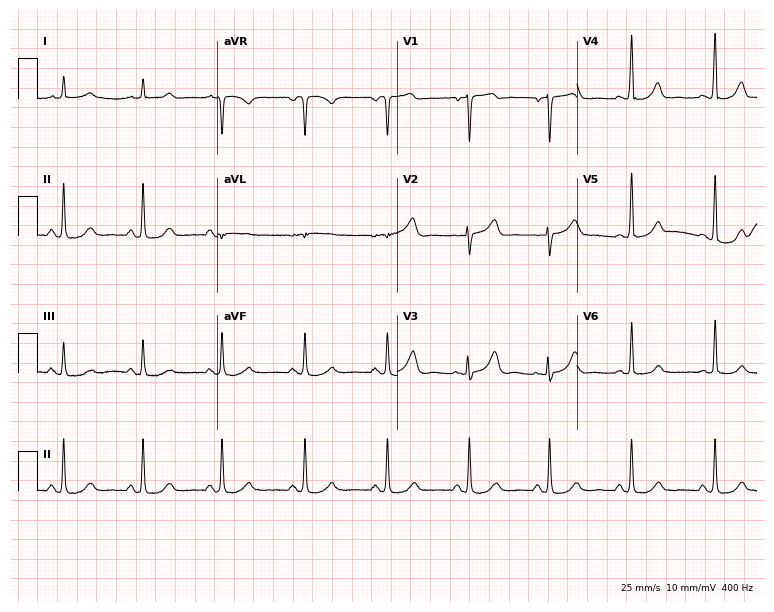
Resting 12-lead electrocardiogram (7.3-second recording at 400 Hz). Patient: a female, 68 years old. Read as a normal ECG.